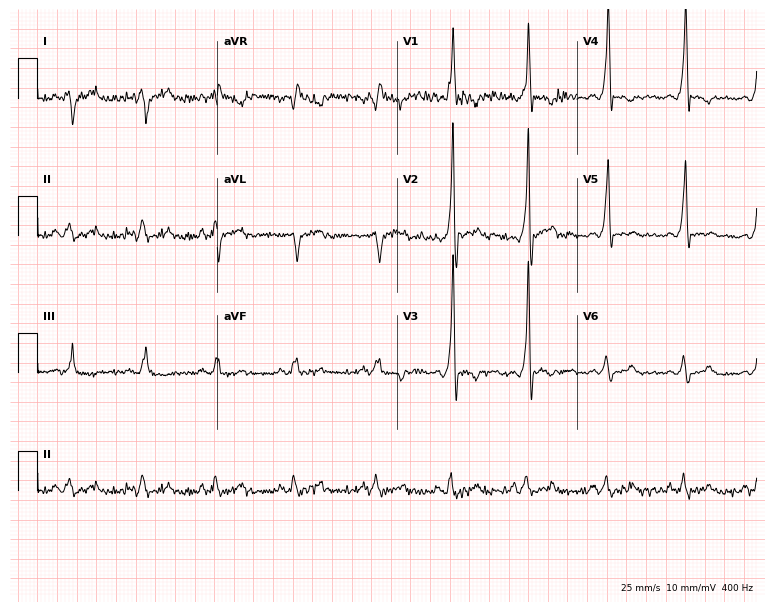
12-lead ECG from a 22-year-old male (7.3-second recording at 400 Hz). No first-degree AV block, right bundle branch block (RBBB), left bundle branch block (LBBB), sinus bradycardia, atrial fibrillation (AF) or sinus tachycardia recorded for this tracing. Other findings, if any, are not listed.